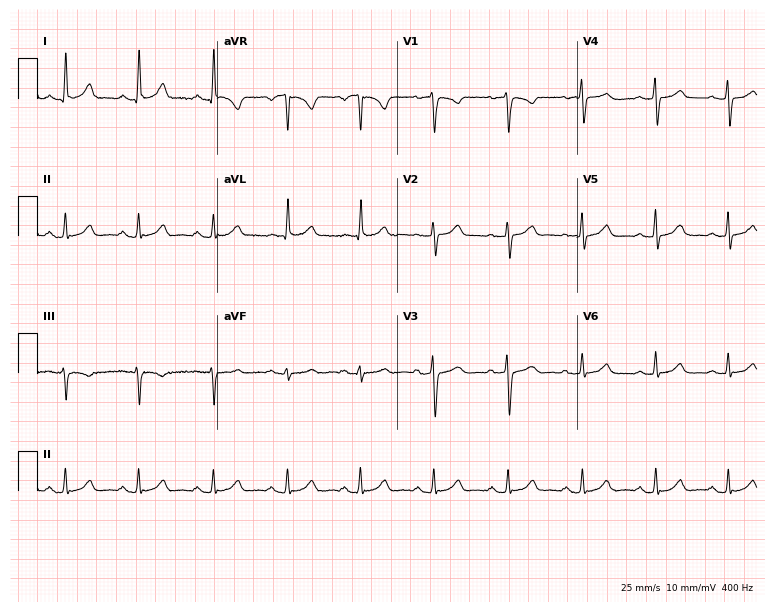
12-lead ECG from a female, 50 years old (7.3-second recording at 400 Hz). Recorded interpretation: within normal limits.